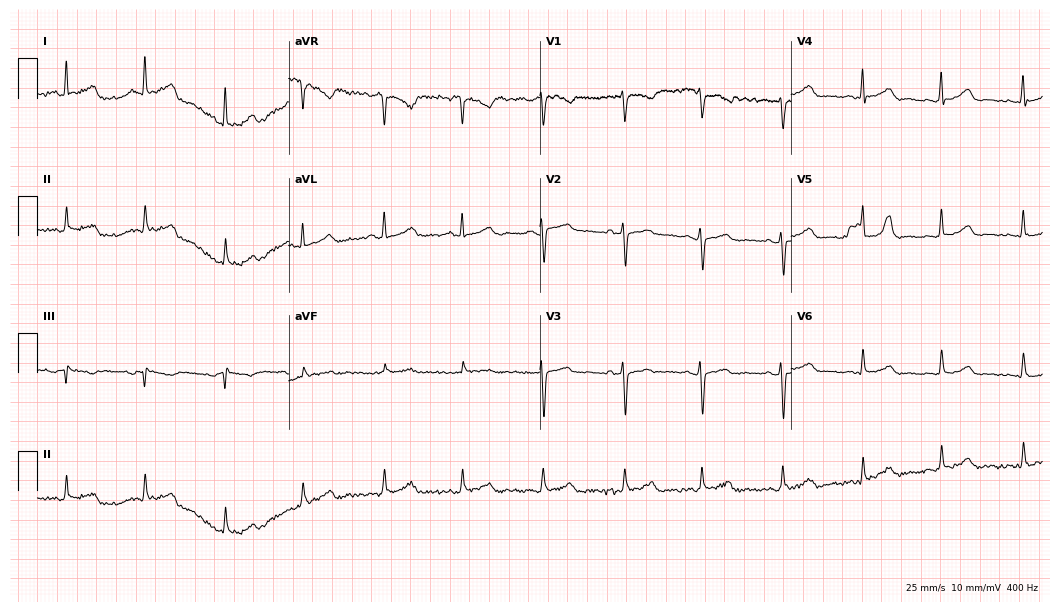
12-lead ECG from a female patient, 40 years old (10.2-second recording at 400 Hz). Recorded interpretation: within normal limits.